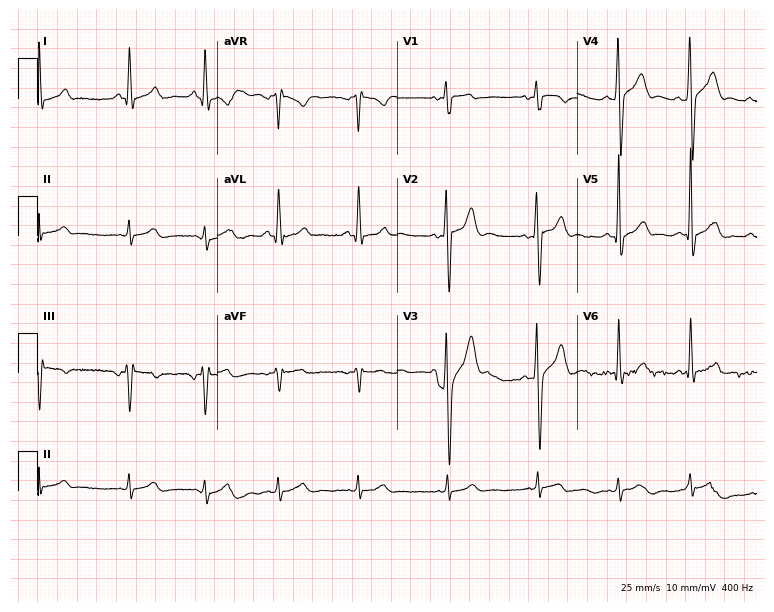
Electrocardiogram (7.3-second recording at 400 Hz), a male, 18 years old. Overall reading on record: normal ECG.